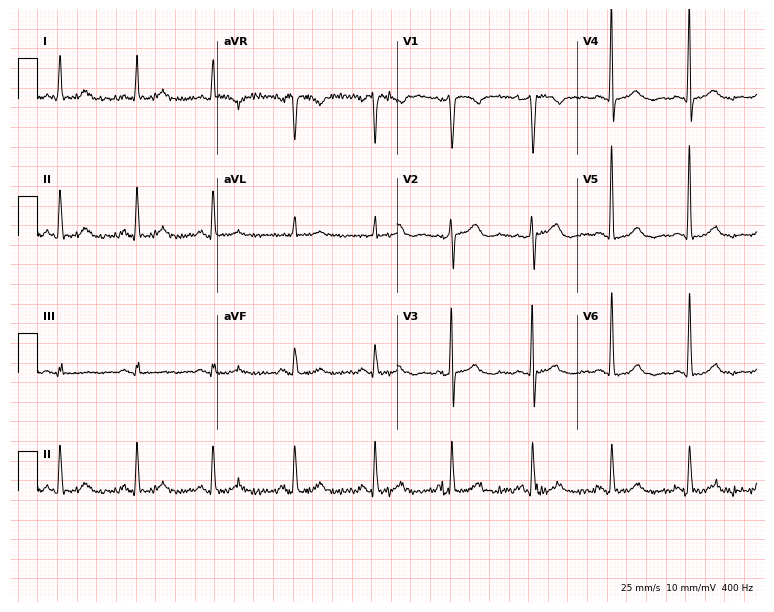
Standard 12-lead ECG recorded from a female, 69 years old. None of these six findings is recorded: first-degree AV block, right bundle branch block, left bundle branch block, sinus bradycardia, atrial fibrillation, sinus tachycardia. Only these six findings were labelled.